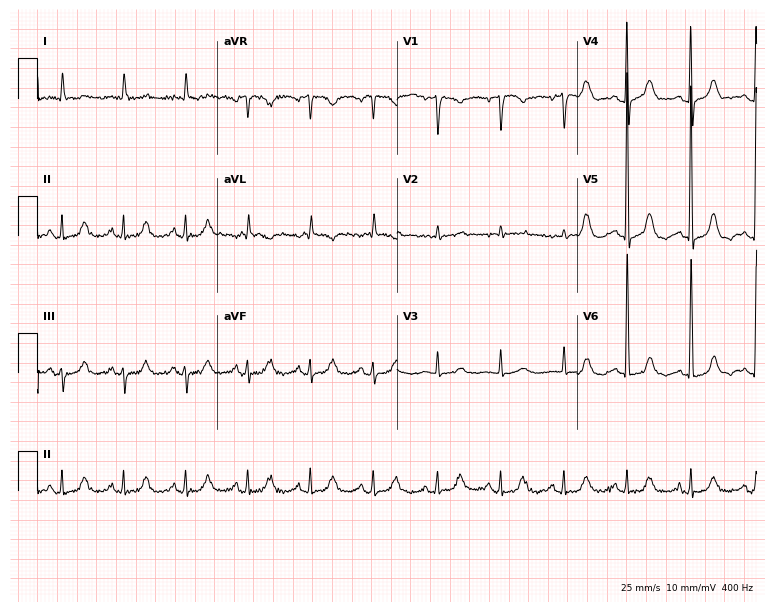
Resting 12-lead electrocardiogram. Patient: a female, 80 years old. None of these six findings is recorded: first-degree AV block, right bundle branch block, left bundle branch block, sinus bradycardia, atrial fibrillation, sinus tachycardia. Other findings, if any, are not listed.